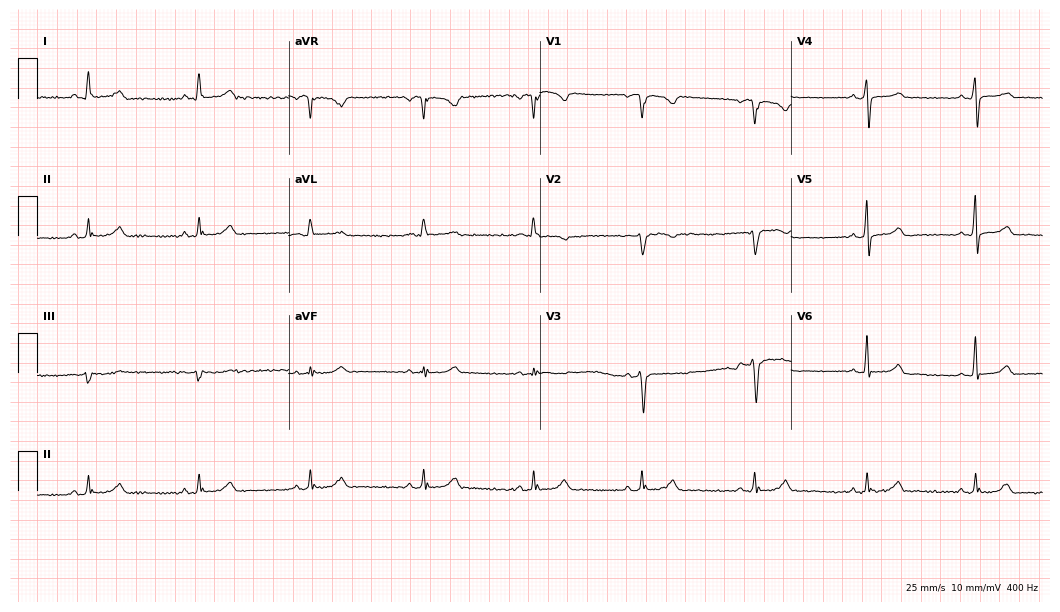
ECG — a 57-year-old man. Screened for six findings — first-degree AV block, right bundle branch block (RBBB), left bundle branch block (LBBB), sinus bradycardia, atrial fibrillation (AF), sinus tachycardia — none is recorded. Only these six findings were labelled.